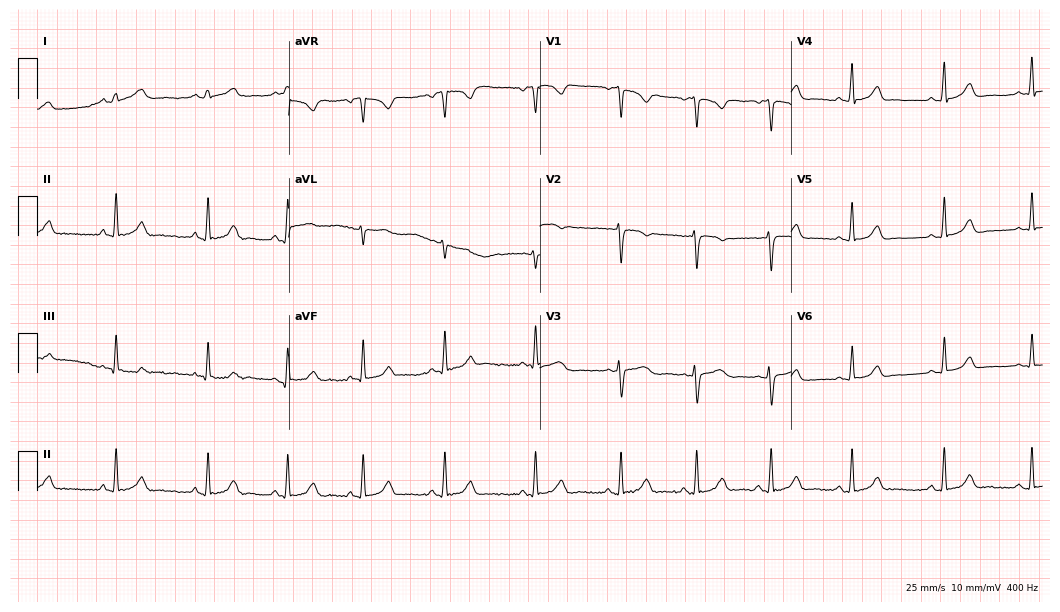
12-lead ECG from a female, 17 years old (10.2-second recording at 400 Hz). Recorded interpretation: within normal limits.